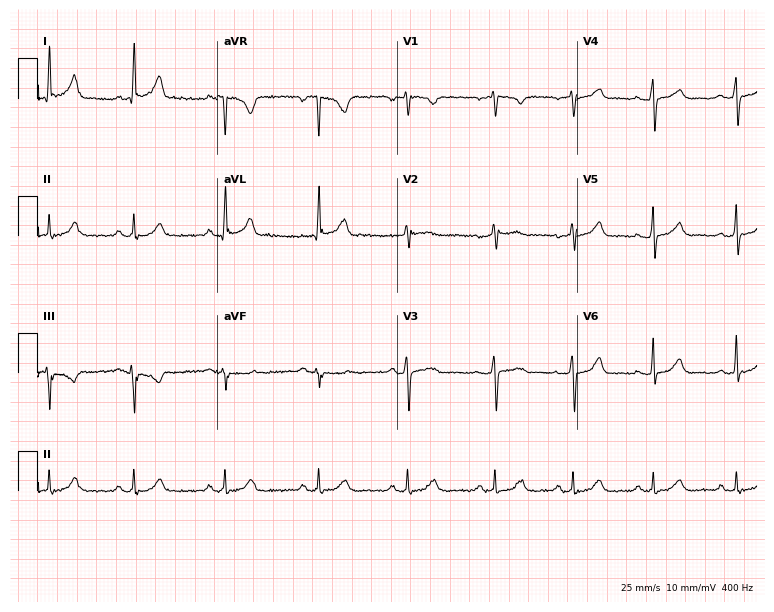
ECG — a 55-year-old woman. Labelled as a normal ECG.